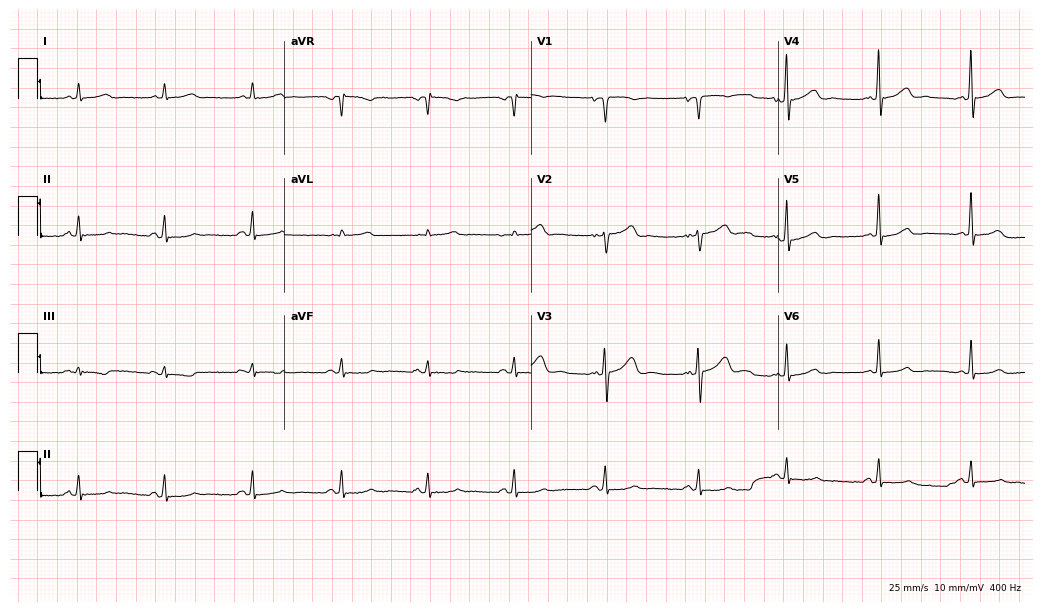
ECG — a man, 42 years old. Screened for six findings — first-degree AV block, right bundle branch block (RBBB), left bundle branch block (LBBB), sinus bradycardia, atrial fibrillation (AF), sinus tachycardia — none is recorded.